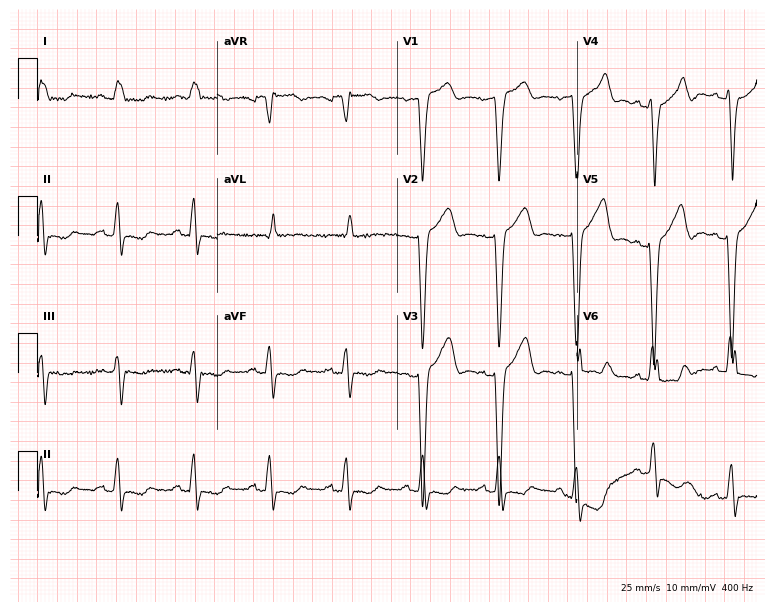
Electrocardiogram, a female, 76 years old. Interpretation includes left bundle branch block.